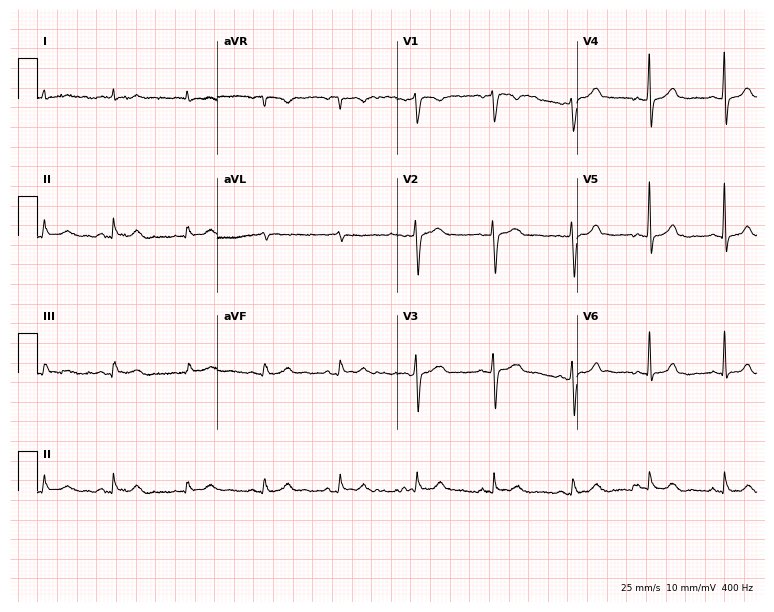
ECG (7.3-second recording at 400 Hz) — a 35-year-old woman. Screened for six findings — first-degree AV block, right bundle branch block (RBBB), left bundle branch block (LBBB), sinus bradycardia, atrial fibrillation (AF), sinus tachycardia — none is recorded.